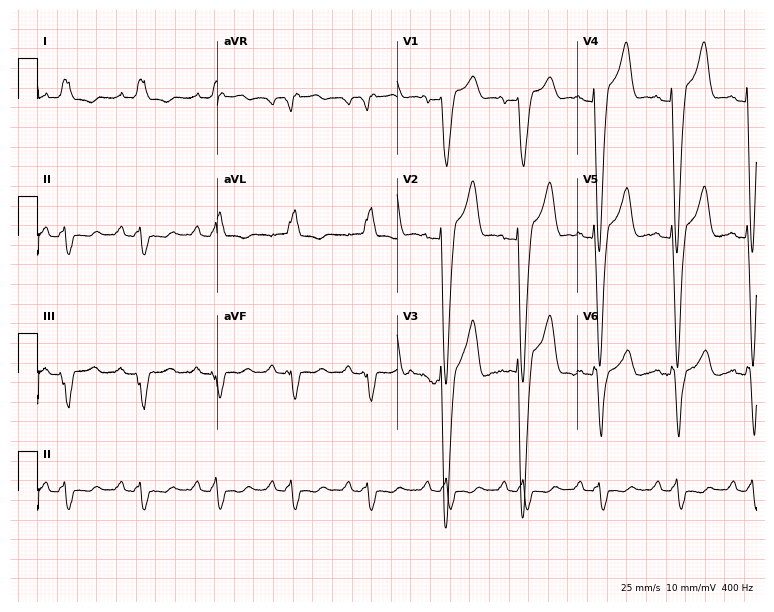
12-lead ECG from a man, 64 years old. Shows left bundle branch block (LBBB).